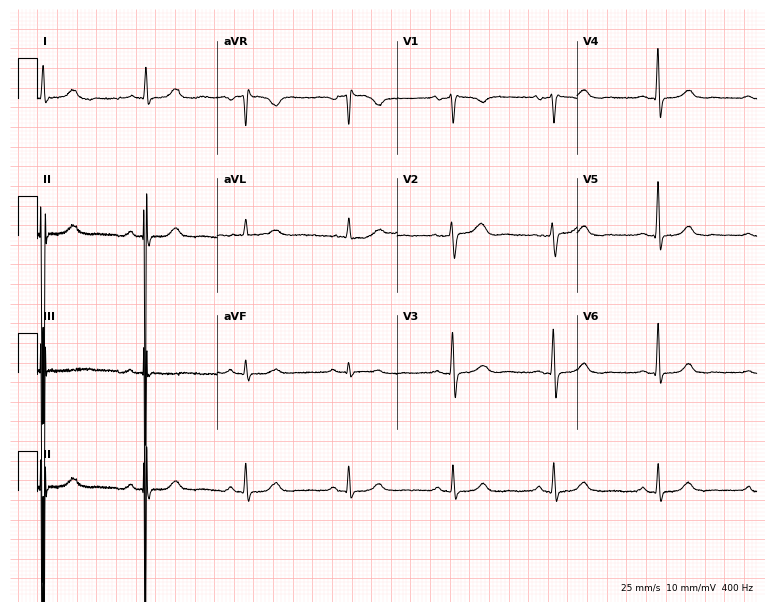
Standard 12-lead ECG recorded from a woman, 52 years old (7.3-second recording at 400 Hz). None of these six findings is recorded: first-degree AV block, right bundle branch block, left bundle branch block, sinus bradycardia, atrial fibrillation, sinus tachycardia. Other findings, if any, are not listed.